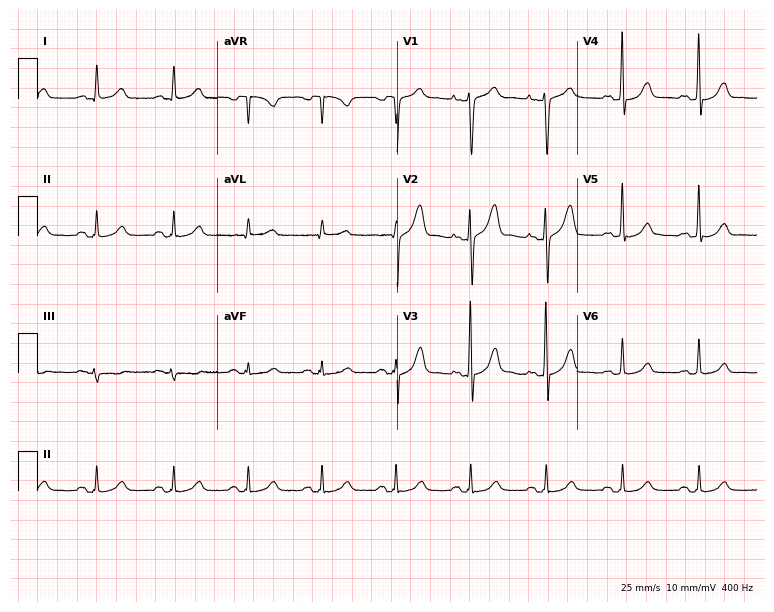
Resting 12-lead electrocardiogram (7.3-second recording at 400 Hz). Patient: a 42-year-old male. Read as a normal ECG.